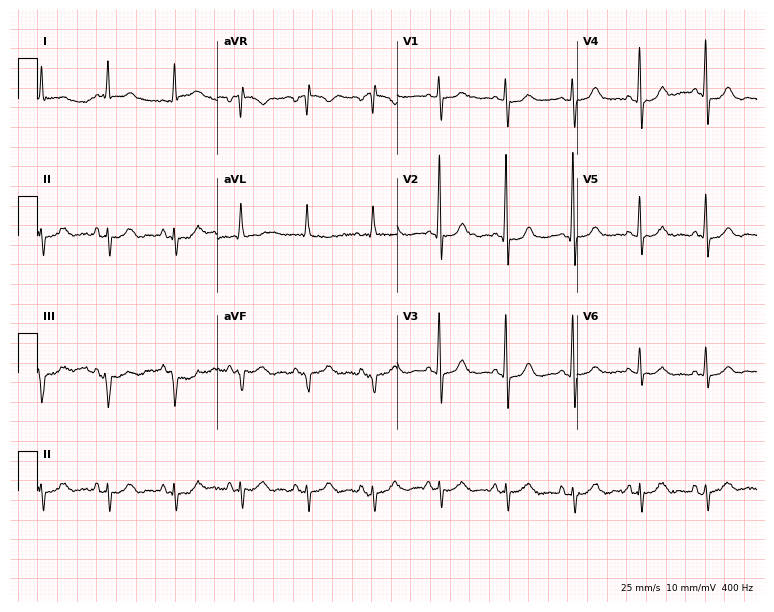
Resting 12-lead electrocardiogram (7.3-second recording at 400 Hz). Patient: an 81-year-old woman. None of these six findings is recorded: first-degree AV block, right bundle branch block, left bundle branch block, sinus bradycardia, atrial fibrillation, sinus tachycardia. Findings outside these six are not listed.